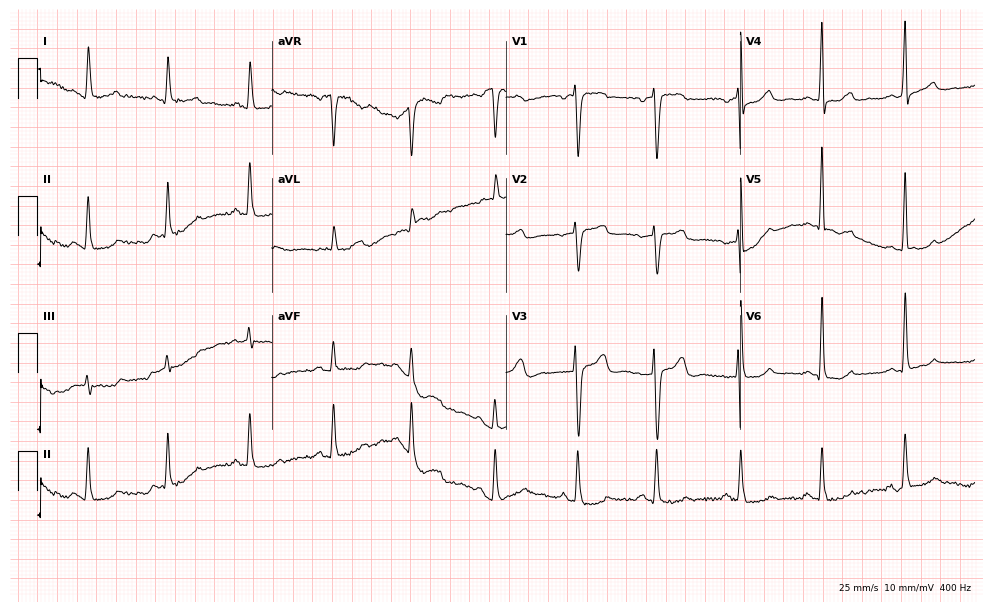
12-lead ECG from a female patient, 44 years old. Labelled as a normal ECG.